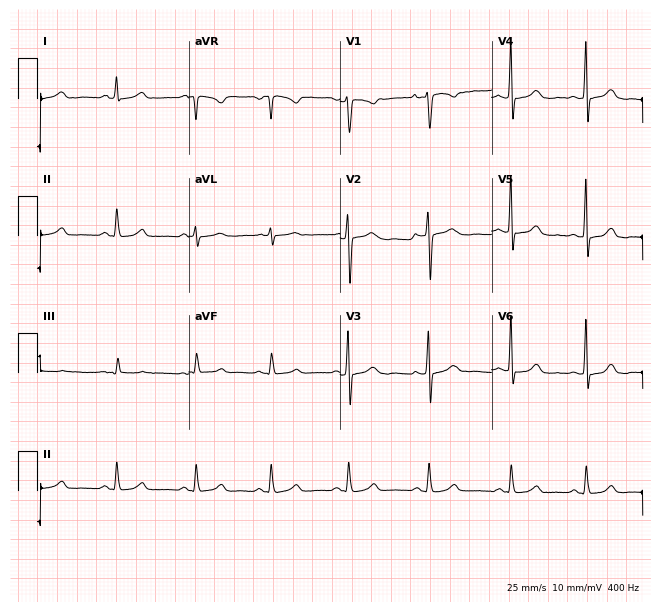
Resting 12-lead electrocardiogram. Patient: a woman, 46 years old. None of these six findings is recorded: first-degree AV block, right bundle branch block, left bundle branch block, sinus bradycardia, atrial fibrillation, sinus tachycardia. Other findings, if any, are not listed.